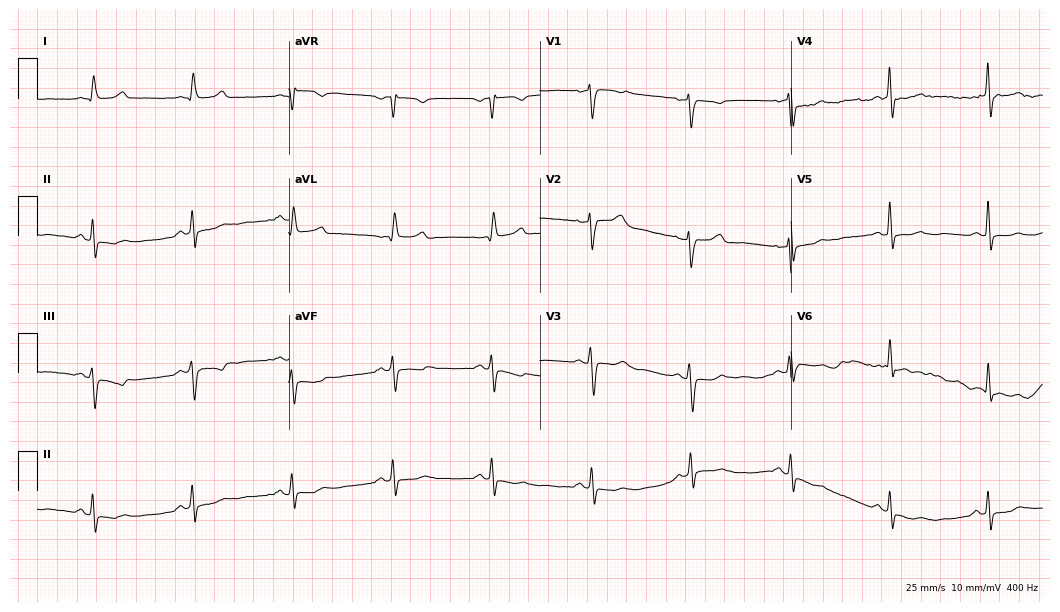
12-lead ECG (10.2-second recording at 400 Hz) from a 72-year-old female. Screened for six findings — first-degree AV block, right bundle branch block, left bundle branch block, sinus bradycardia, atrial fibrillation, sinus tachycardia — none is recorded. Findings outside these six are not listed.